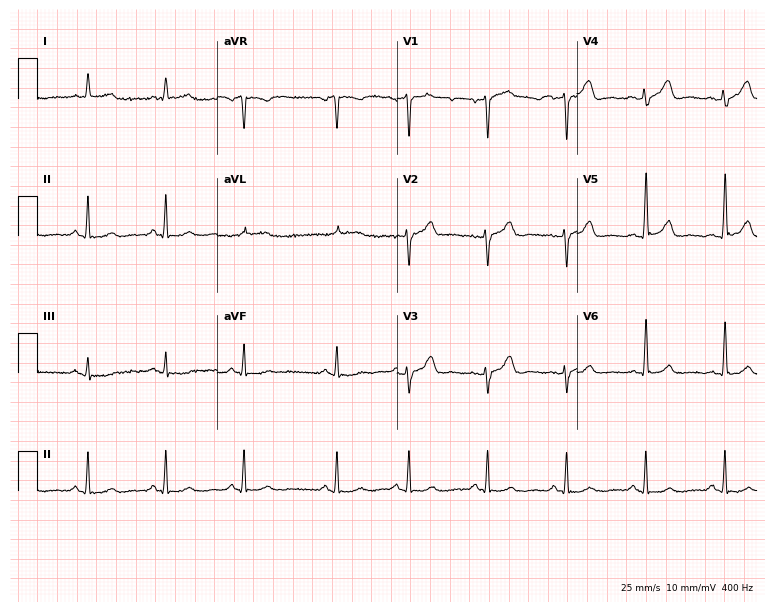
12-lead ECG from a male, 54 years old (7.3-second recording at 400 Hz). Recorded interpretation: within normal limits.